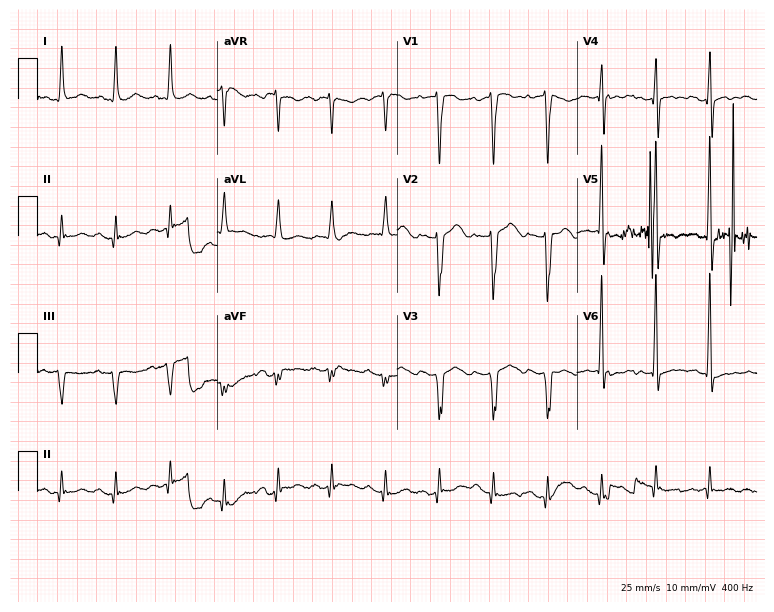
Standard 12-lead ECG recorded from a male, 56 years old. The tracing shows sinus tachycardia (a sinus rate of 100 beats per minute or more).